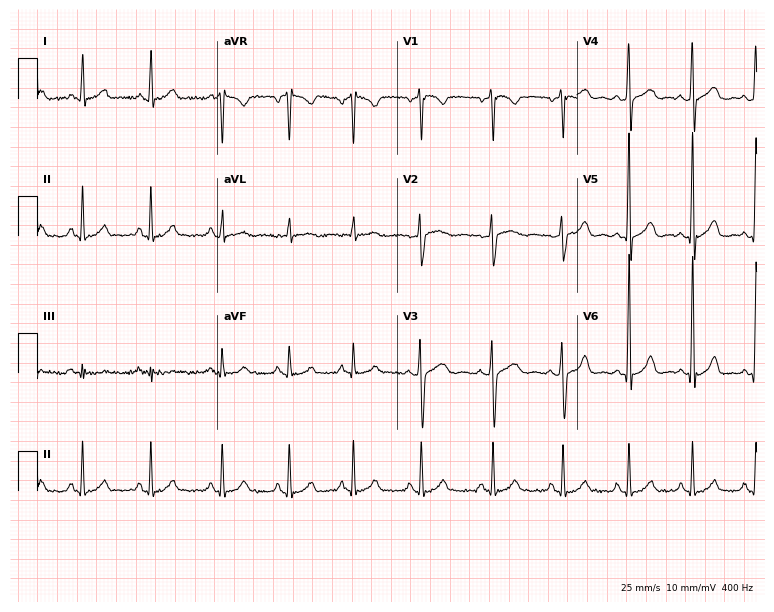
Standard 12-lead ECG recorded from a 42-year-old man. None of these six findings is recorded: first-degree AV block, right bundle branch block, left bundle branch block, sinus bradycardia, atrial fibrillation, sinus tachycardia.